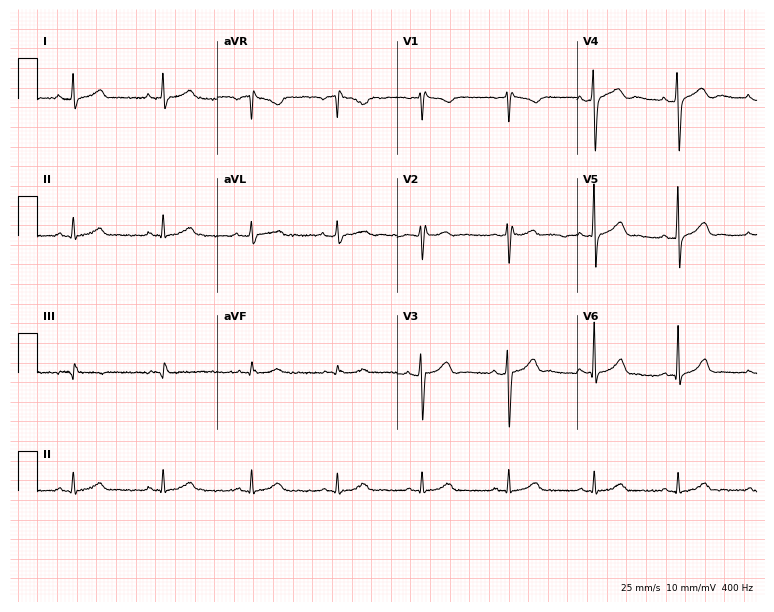
12-lead ECG from a man, 40 years old (7.3-second recording at 400 Hz). No first-degree AV block, right bundle branch block, left bundle branch block, sinus bradycardia, atrial fibrillation or sinus tachycardia recorded for this tracing. Other findings, if any, are not listed.